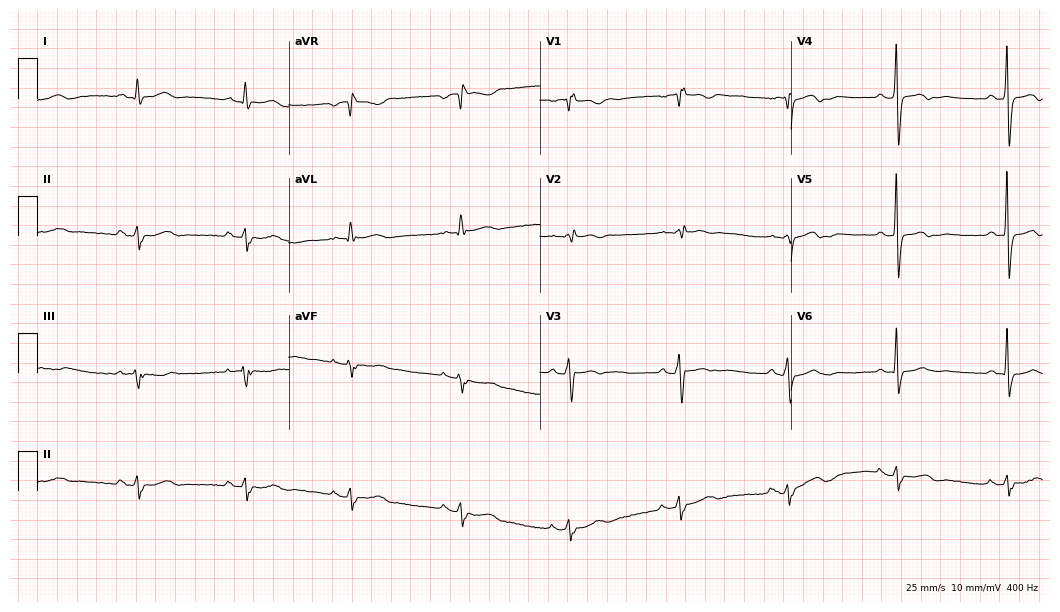
Standard 12-lead ECG recorded from a female patient, 79 years old. None of these six findings is recorded: first-degree AV block, right bundle branch block (RBBB), left bundle branch block (LBBB), sinus bradycardia, atrial fibrillation (AF), sinus tachycardia. Only these six findings were labelled.